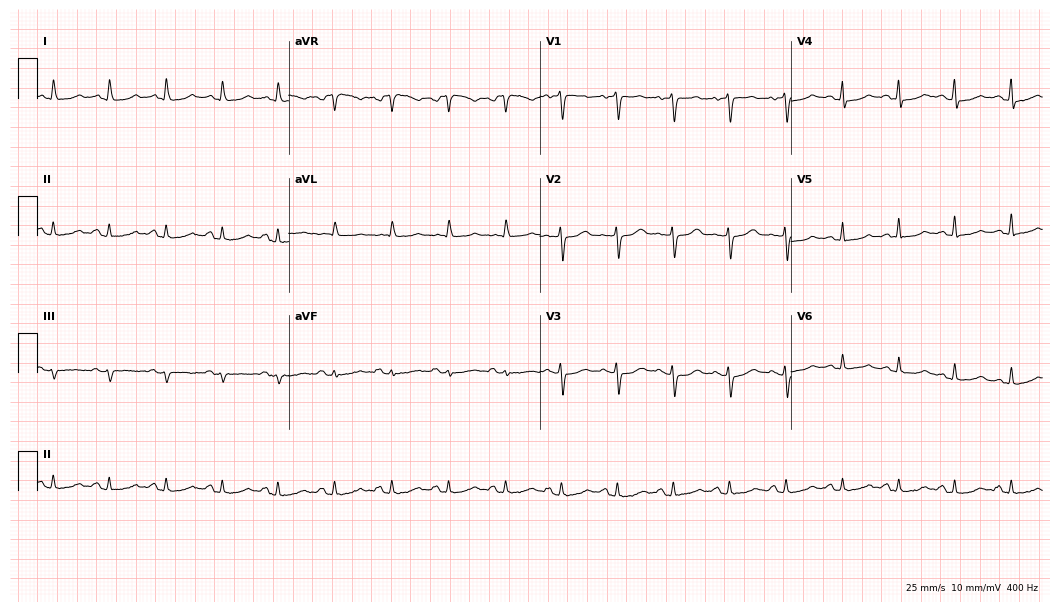
12-lead ECG (10.2-second recording at 400 Hz) from a female, 57 years old. Screened for six findings — first-degree AV block, right bundle branch block (RBBB), left bundle branch block (LBBB), sinus bradycardia, atrial fibrillation (AF), sinus tachycardia — none is recorded. Findings outside these six are not listed.